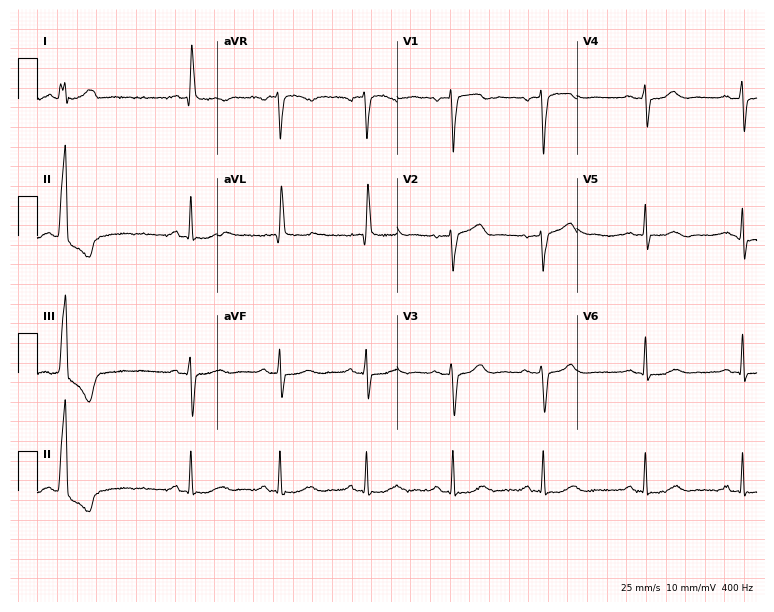
12-lead ECG from a female, 67 years old (7.3-second recording at 400 Hz). No first-degree AV block, right bundle branch block, left bundle branch block, sinus bradycardia, atrial fibrillation or sinus tachycardia recorded for this tracing.